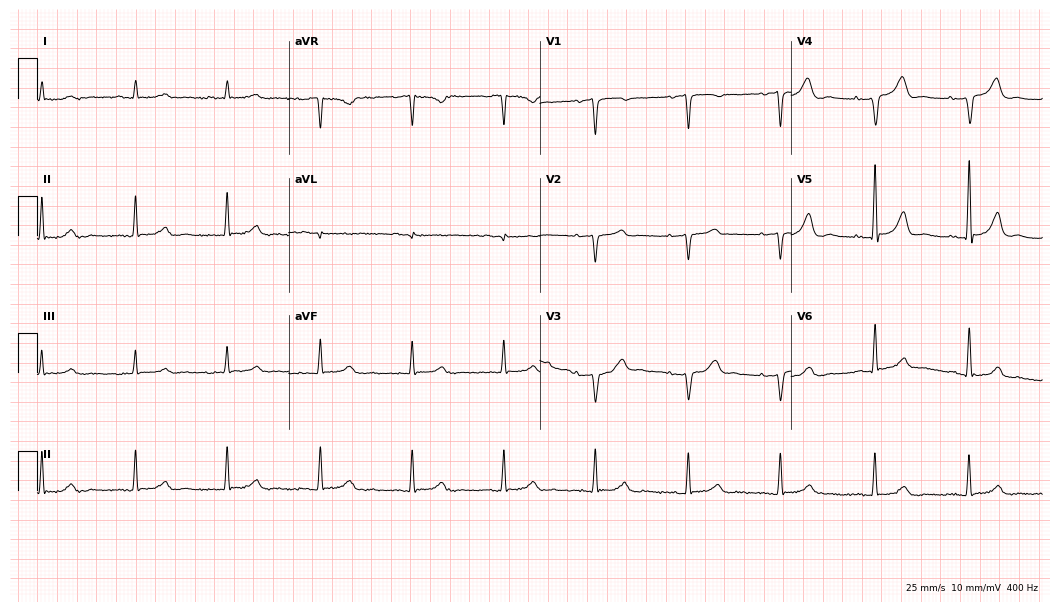
12-lead ECG from a 62-year-old male patient. Screened for six findings — first-degree AV block, right bundle branch block (RBBB), left bundle branch block (LBBB), sinus bradycardia, atrial fibrillation (AF), sinus tachycardia — none is recorded. Findings outside these six are not listed.